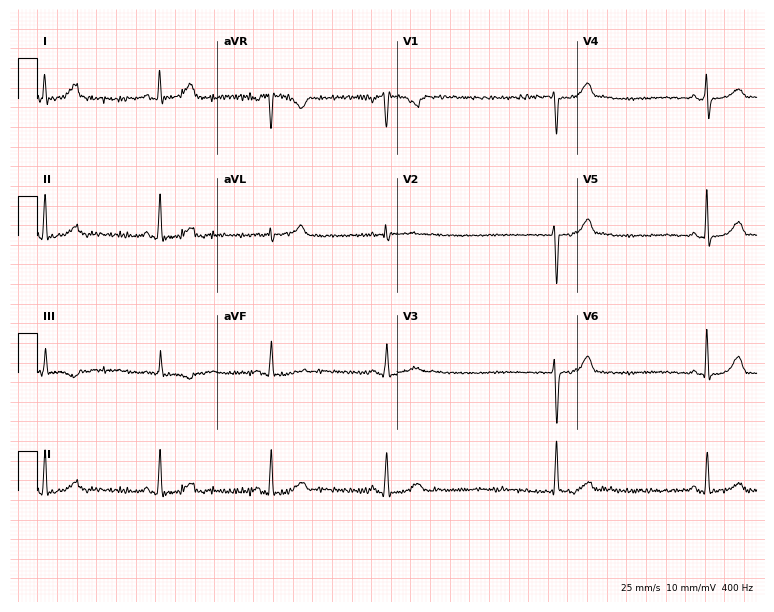
ECG — a woman, 44 years old. Findings include sinus bradycardia (a sinus rate of 50 beats per minute or less).